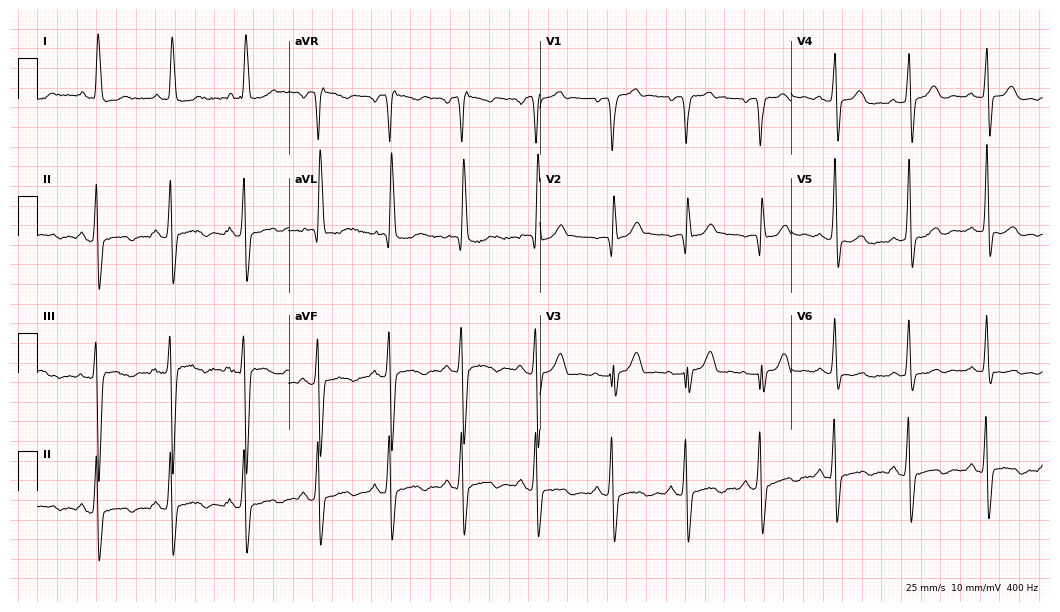
Resting 12-lead electrocardiogram (10.2-second recording at 400 Hz). Patient: a female, 74 years old. None of these six findings is recorded: first-degree AV block, right bundle branch block, left bundle branch block, sinus bradycardia, atrial fibrillation, sinus tachycardia.